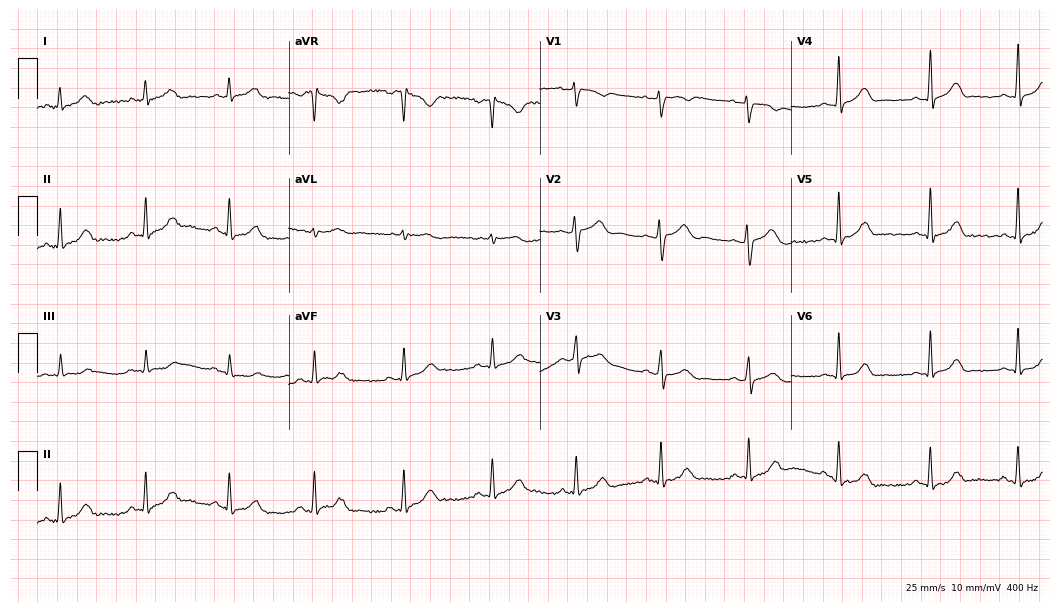
Resting 12-lead electrocardiogram. Patient: a female, 33 years old. Read as a normal ECG.